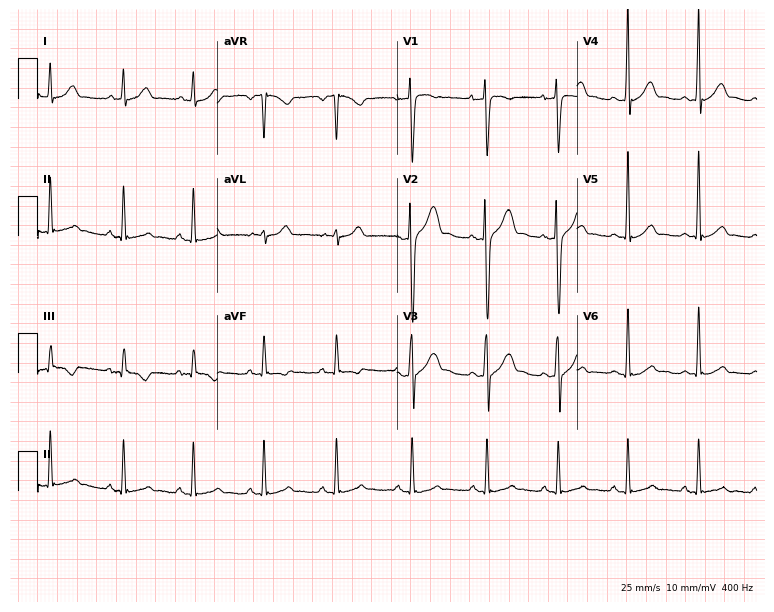
Electrocardiogram (7.3-second recording at 400 Hz), a 23-year-old male. Of the six screened findings (first-degree AV block, right bundle branch block (RBBB), left bundle branch block (LBBB), sinus bradycardia, atrial fibrillation (AF), sinus tachycardia), none is recorded. Other findings, if any, are not listed.